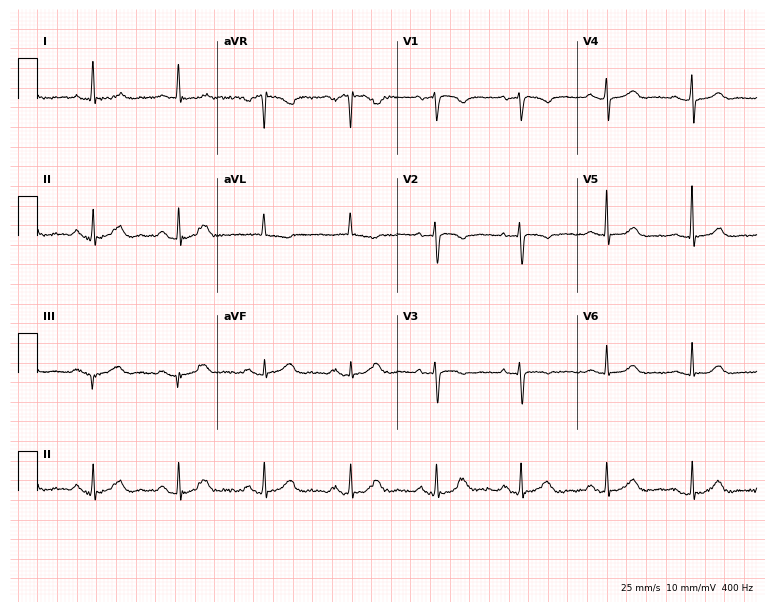
Resting 12-lead electrocardiogram (7.3-second recording at 400 Hz). Patient: a 78-year-old female. None of these six findings is recorded: first-degree AV block, right bundle branch block, left bundle branch block, sinus bradycardia, atrial fibrillation, sinus tachycardia. Findings outside these six are not listed.